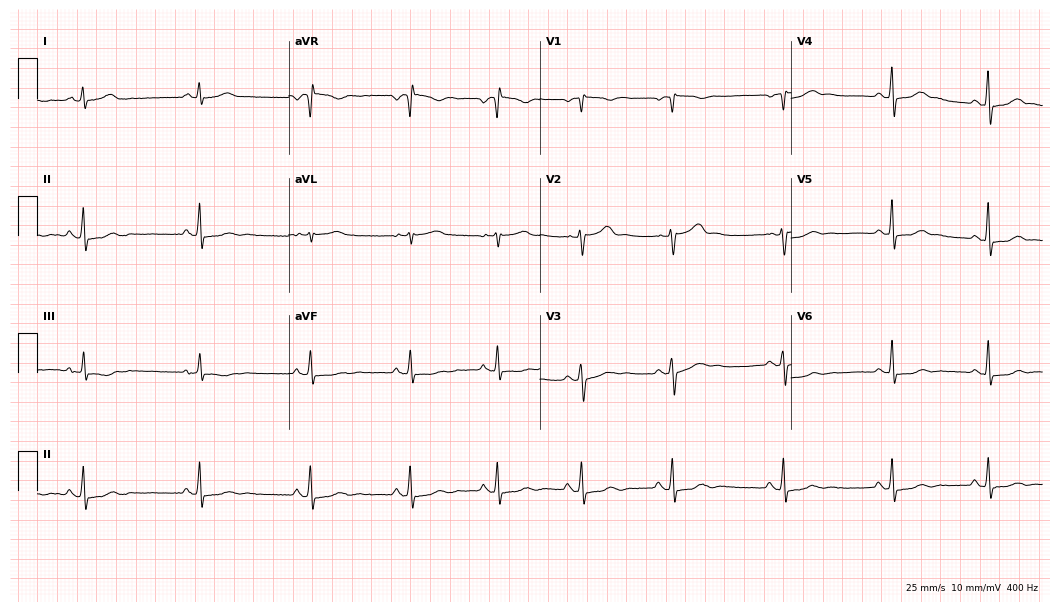
Resting 12-lead electrocardiogram. Patient: a 31-year-old female. None of these six findings is recorded: first-degree AV block, right bundle branch block, left bundle branch block, sinus bradycardia, atrial fibrillation, sinus tachycardia.